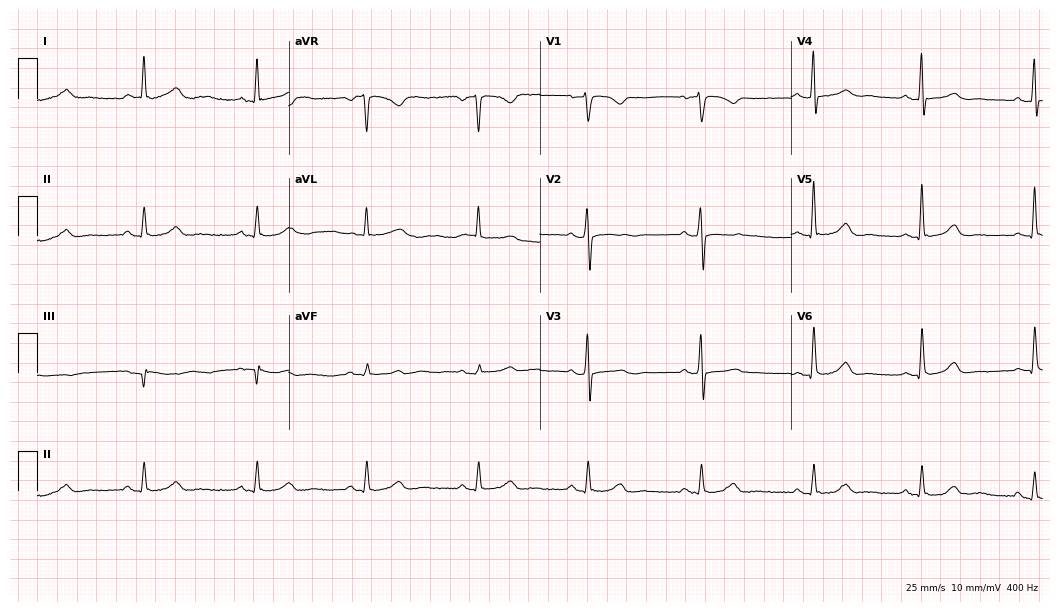
12-lead ECG from a female patient, 58 years old. Recorded interpretation: within normal limits.